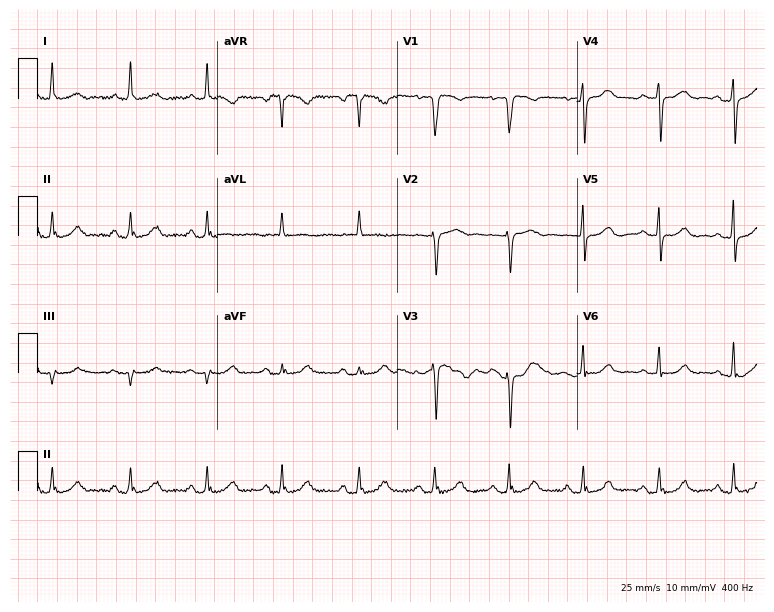
ECG — a woman, 69 years old. Labelled as a normal ECG.